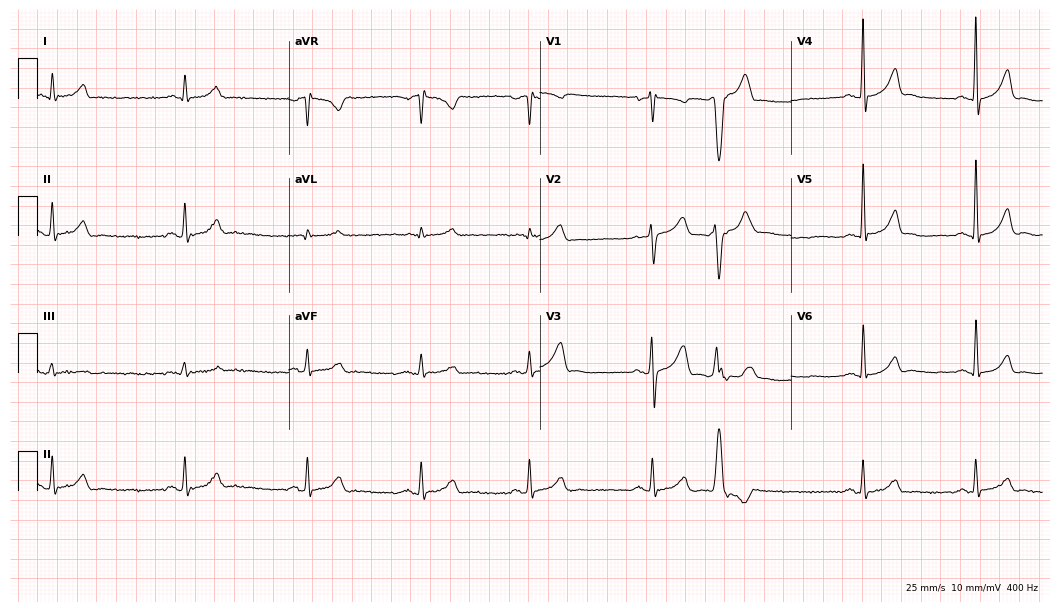
Resting 12-lead electrocardiogram. Patient: a 34-year-old male. None of these six findings is recorded: first-degree AV block, right bundle branch block, left bundle branch block, sinus bradycardia, atrial fibrillation, sinus tachycardia. Other findings, if any, are not listed.